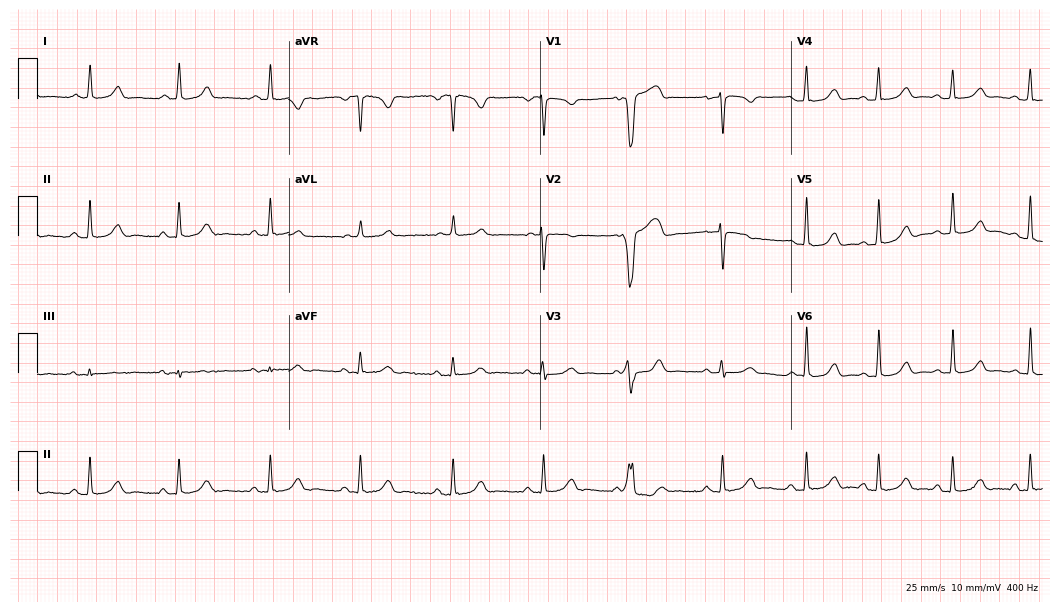
ECG — a female patient, 46 years old. Labelled as a normal ECG.